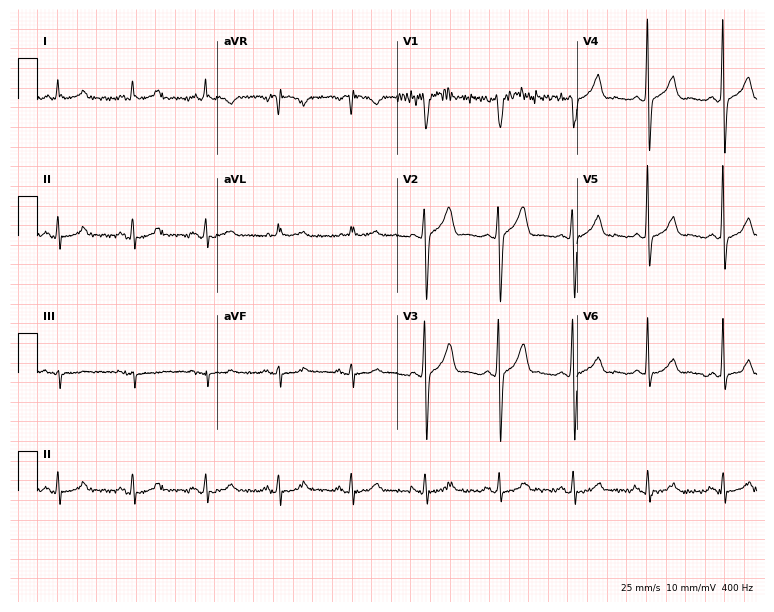
12-lead ECG from a man, 78 years old. Recorded interpretation: within normal limits.